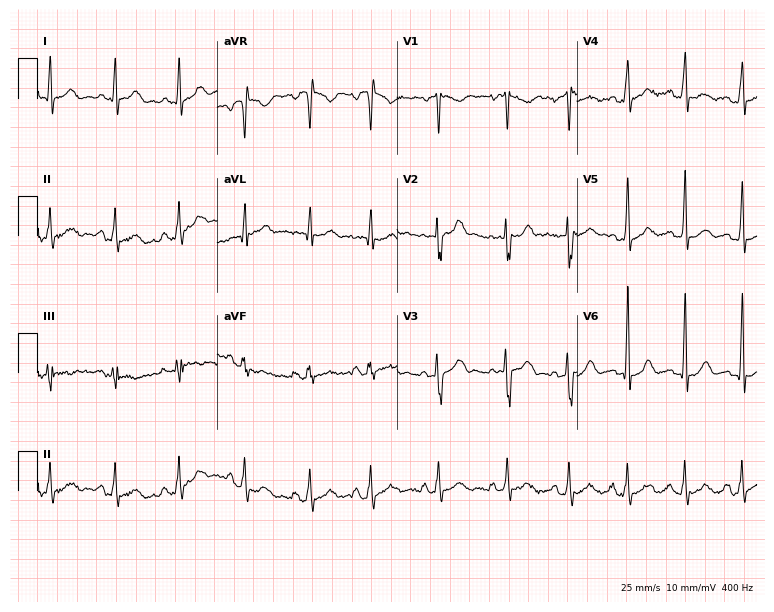
12-lead ECG (7.3-second recording at 400 Hz) from a 32-year-old male patient. Labelled as a normal ECG.